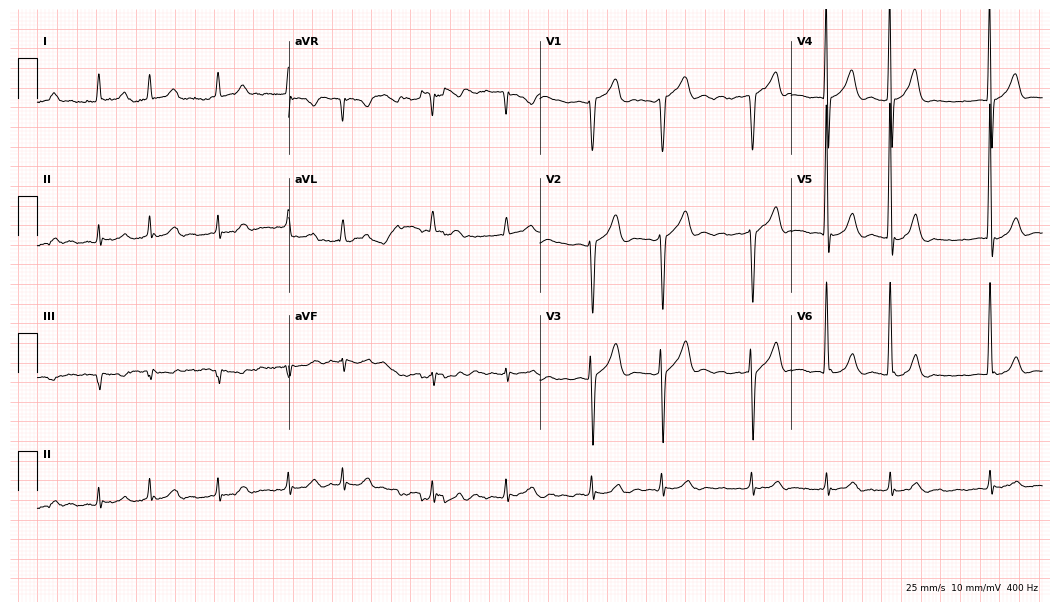
Electrocardiogram (10.2-second recording at 400 Hz), a male, 83 years old. Interpretation includes atrial fibrillation (AF).